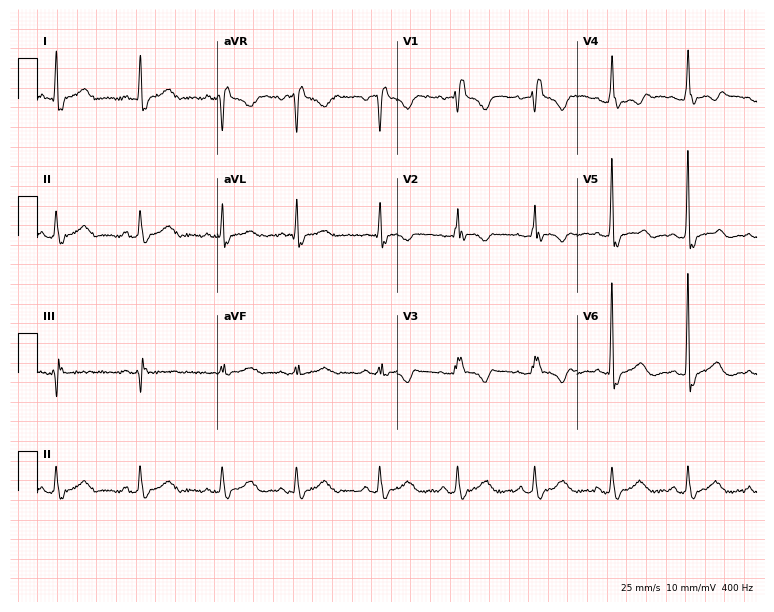
Resting 12-lead electrocardiogram. Patient: a woman, 60 years old. The tracing shows right bundle branch block.